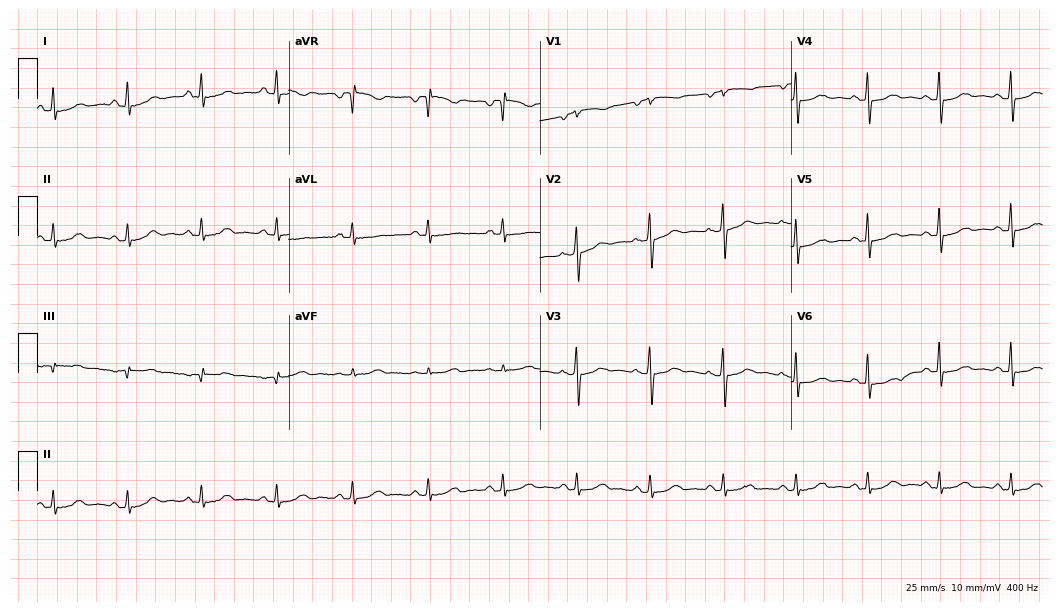
ECG — a woman, 49 years old. Screened for six findings — first-degree AV block, right bundle branch block (RBBB), left bundle branch block (LBBB), sinus bradycardia, atrial fibrillation (AF), sinus tachycardia — none is recorded. Only these six findings were labelled.